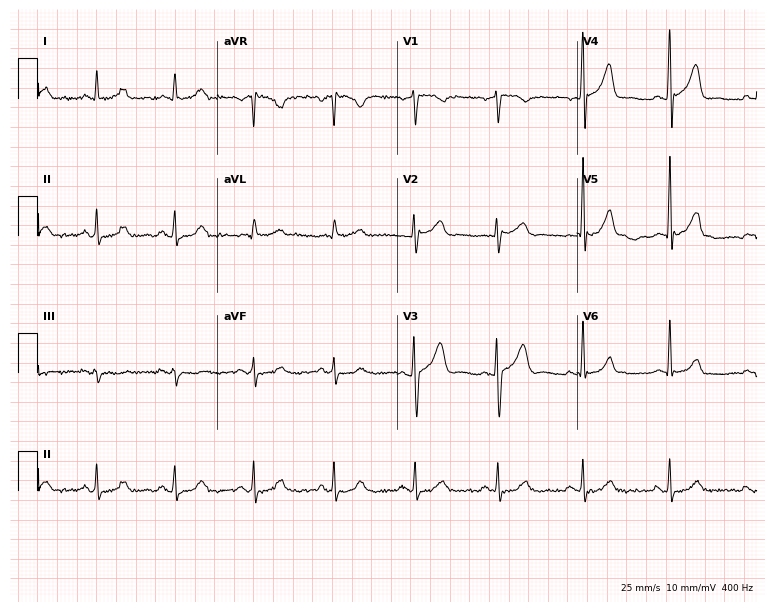
Standard 12-lead ECG recorded from a 62-year-old male patient (7.3-second recording at 400 Hz). Read as a normal ECG.